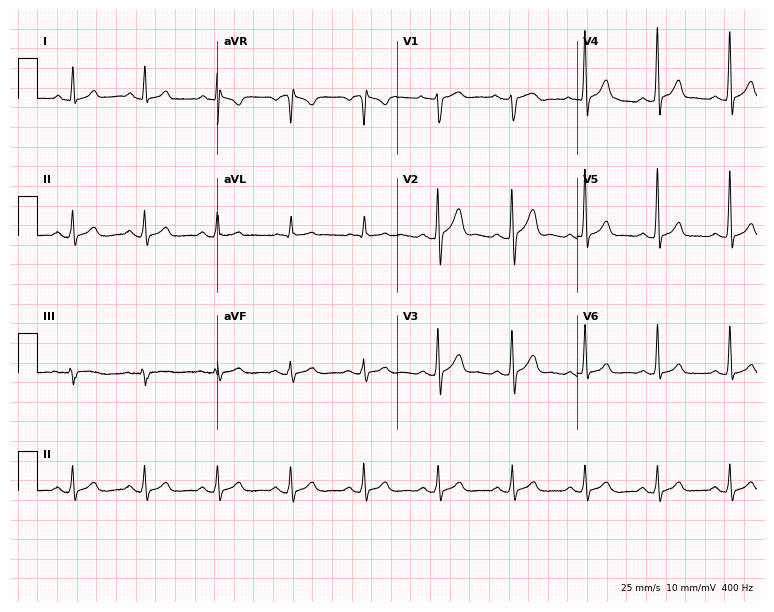
Resting 12-lead electrocardiogram. Patient: a male, 34 years old. Read as a normal ECG.